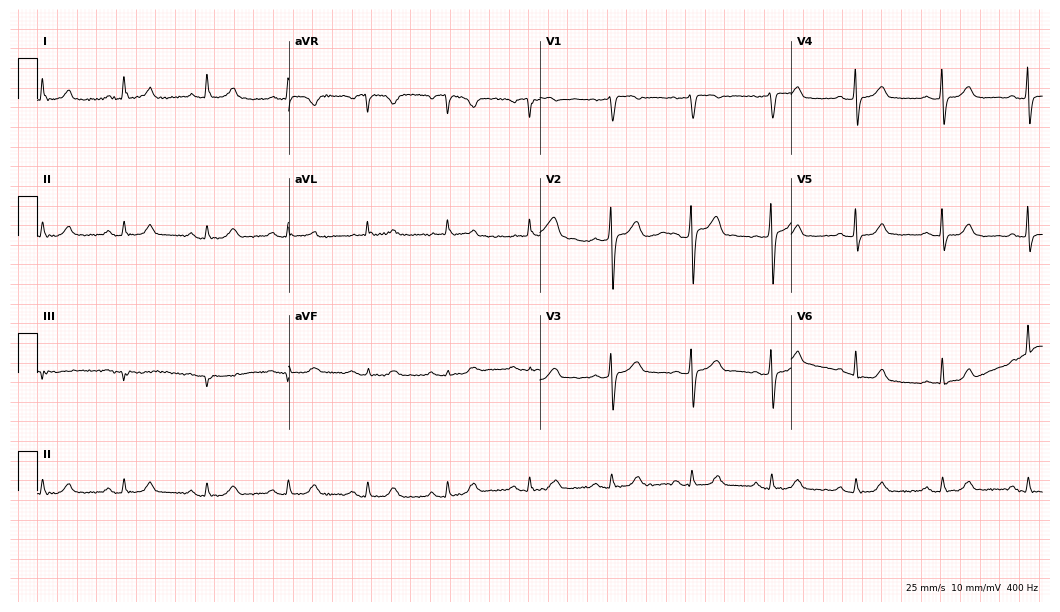
Standard 12-lead ECG recorded from a female, 68 years old. Read as a normal ECG.